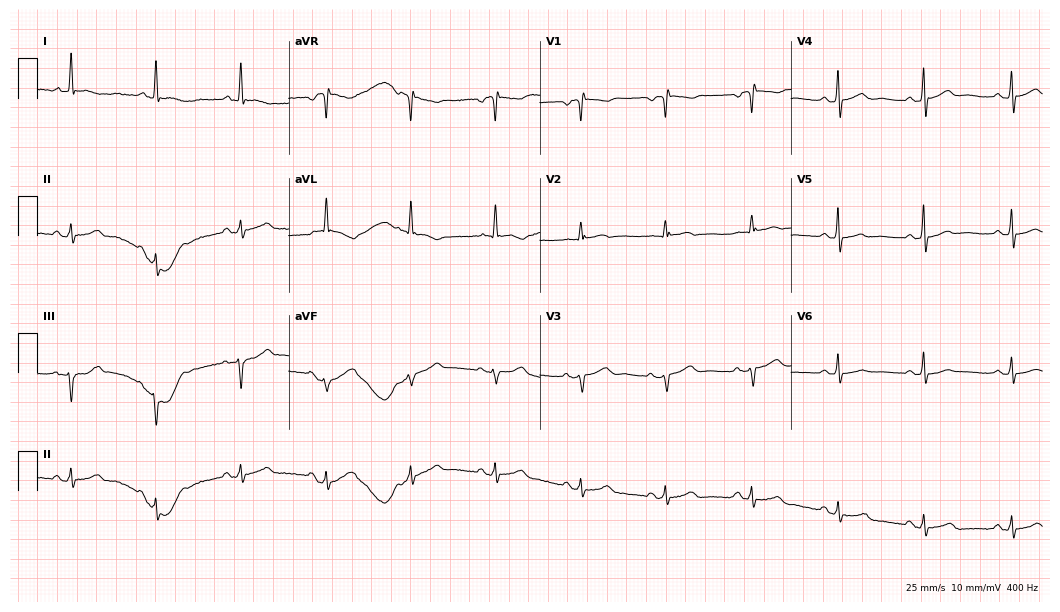
Standard 12-lead ECG recorded from an 81-year-old woman. None of these six findings is recorded: first-degree AV block, right bundle branch block (RBBB), left bundle branch block (LBBB), sinus bradycardia, atrial fibrillation (AF), sinus tachycardia. Other findings, if any, are not listed.